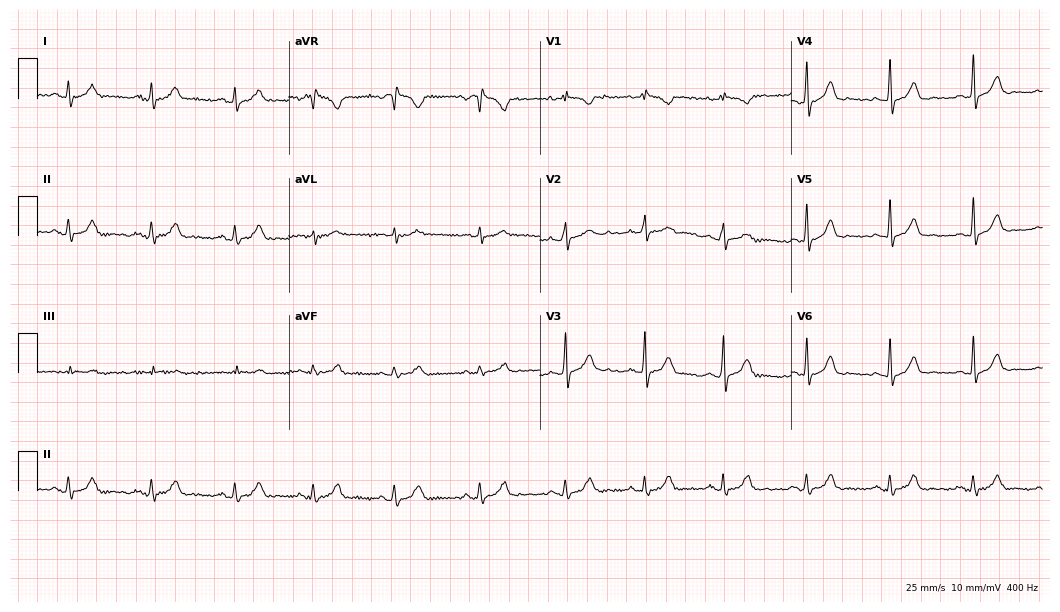
12-lead ECG (10.2-second recording at 400 Hz) from a woman, 29 years old. Labelled as a normal ECG.